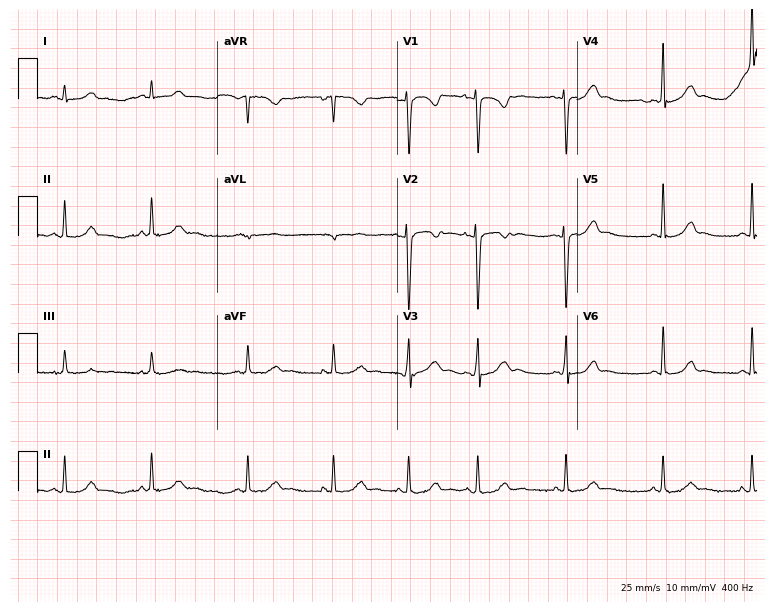
12-lead ECG from a female, 20 years old. Screened for six findings — first-degree AV block, right bundle branch block, left bundle branch block, sinus bradycardia, atrial fibrillation, sinus tachycardia — none is recorded. Other findings, if any, are not listed.